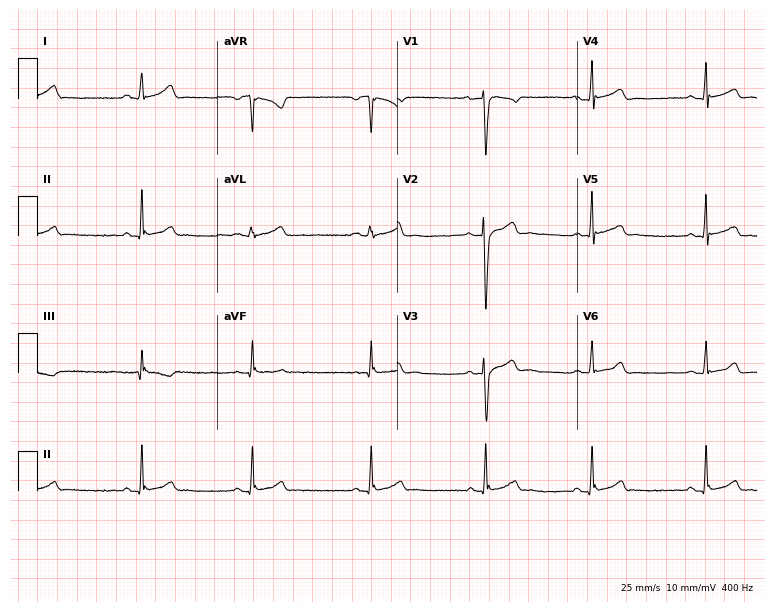
Electrocardiogram (7.3-second recording at 400 Hz), a 30-year-old male. Overall reading on record: normal ECG.